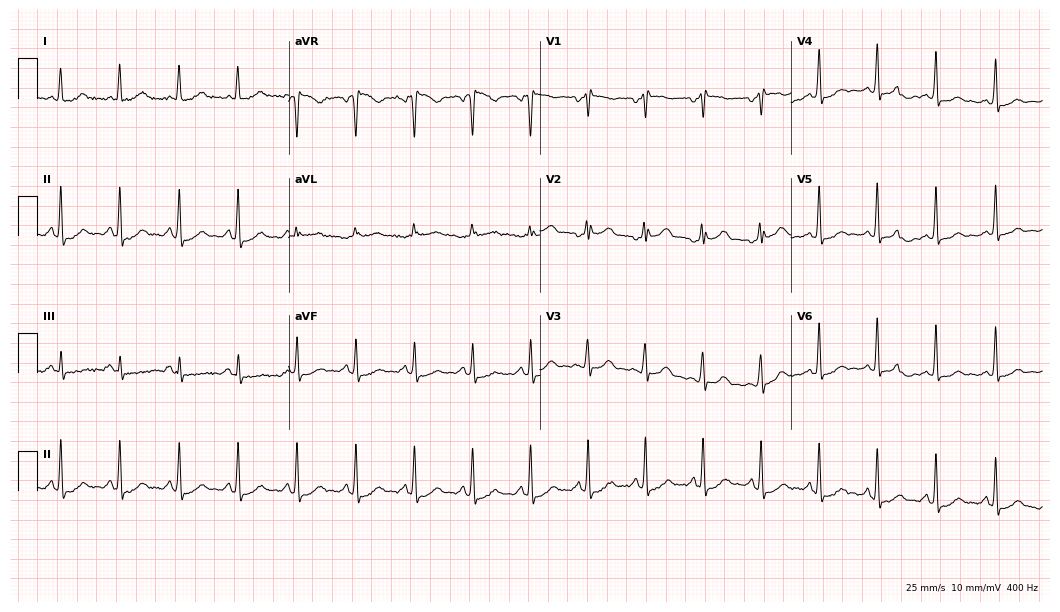
ECG (10.2-second recording at 400 Hz) — a 58-year-old woman. Screened for six findings — first-degree AV block, right bundle branch block (RBBB), left bundle branch block (LBBB), sinus bradycardia, atrial fibrillation (AF), sinus tachycardia — none is recorded. Other findings, if any, are not listed.